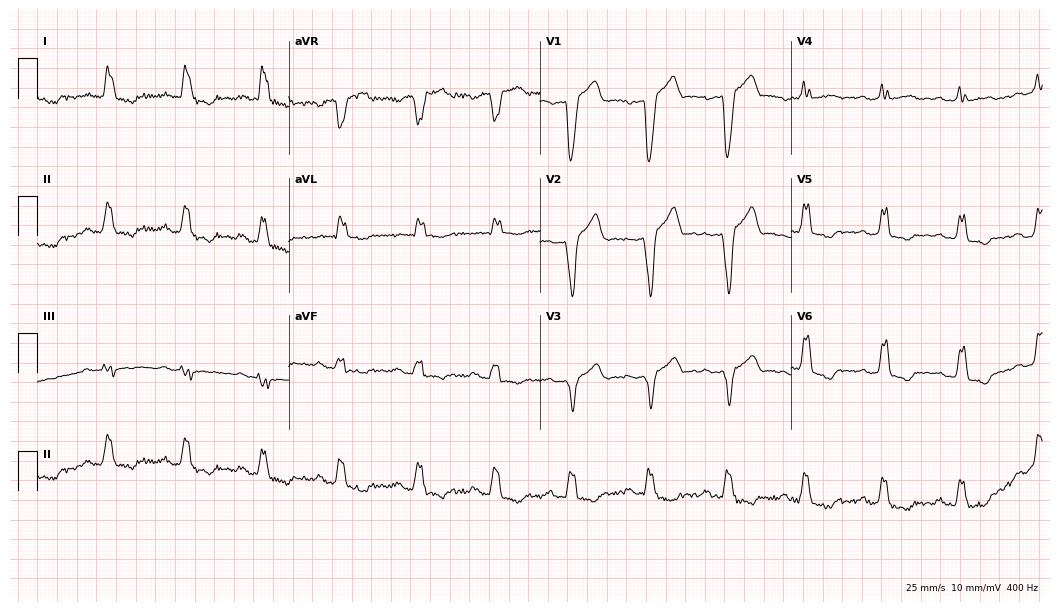
Resting 12-lead electrocardiogram. Patient: a male, 62 years old. None of these six findings is recorded: first-degree AV block, right bundle branch block (RBBB), left bundle branch block (LBBB), sinus bradycardia, atrial fibrillation (AF), sinus tachycardia.